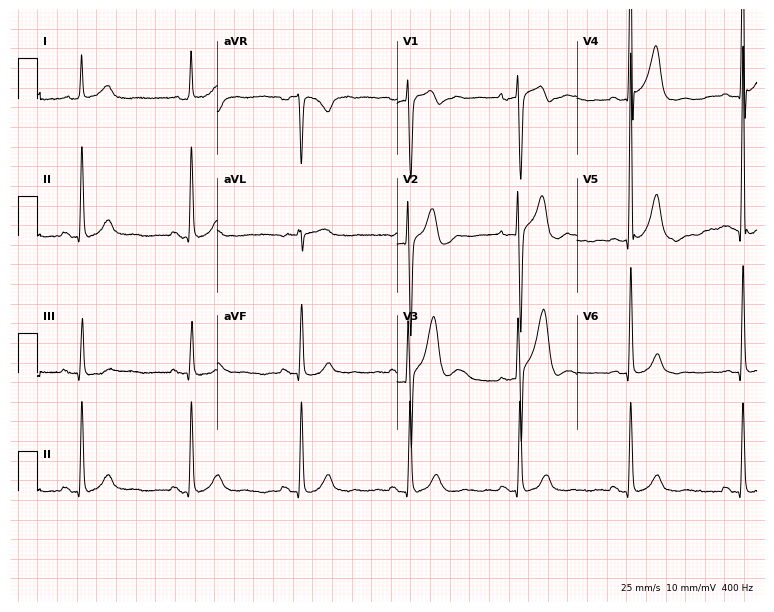
Standard 12-lead ECG recorded from a 72-year-old male patient (7.3-second recording at 400 Hz). None of these six findings is recorded: first-degree AV block, right bundle branch block, left bundle branch block, sinus bradycardia, atrial fibrillation, sinus tachycardia. Findings outside these six are not listed.